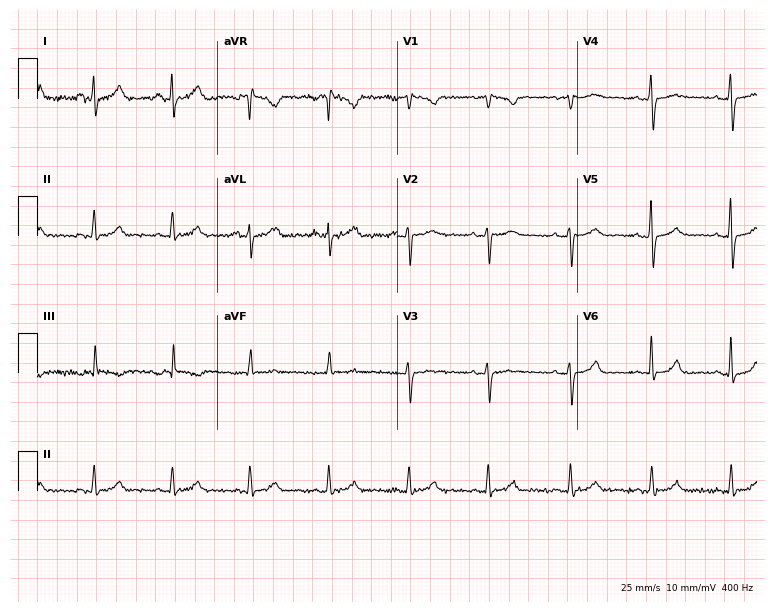
12-lead ECG from a woman, 46 years old. No first-degree AV block, right bundle branch block (RBBB), left bundle branch block (LBBB), sinus bradycardia, atrial fibrillation (AF) or sinus tachycardia recorded for this tracing. Only these six findings were labelled.